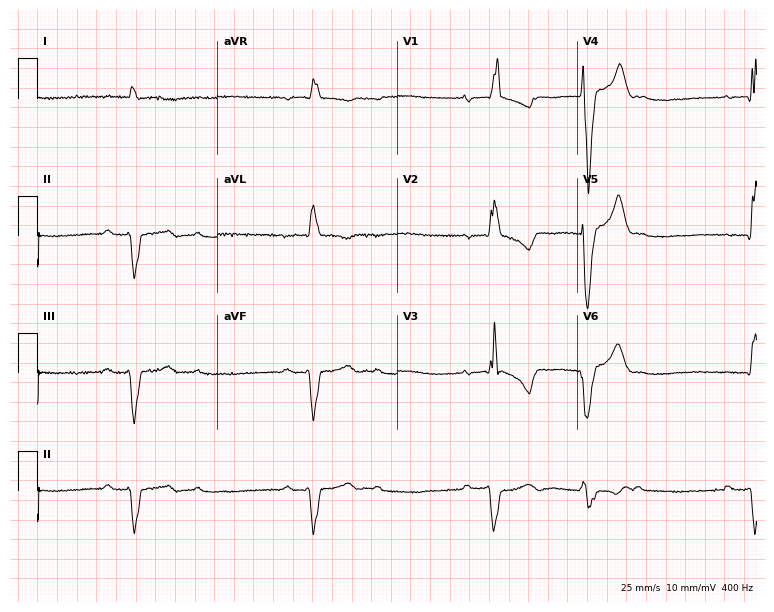
12-lead ECG from a 67-year-old male patient. Shows first-degree AV block.